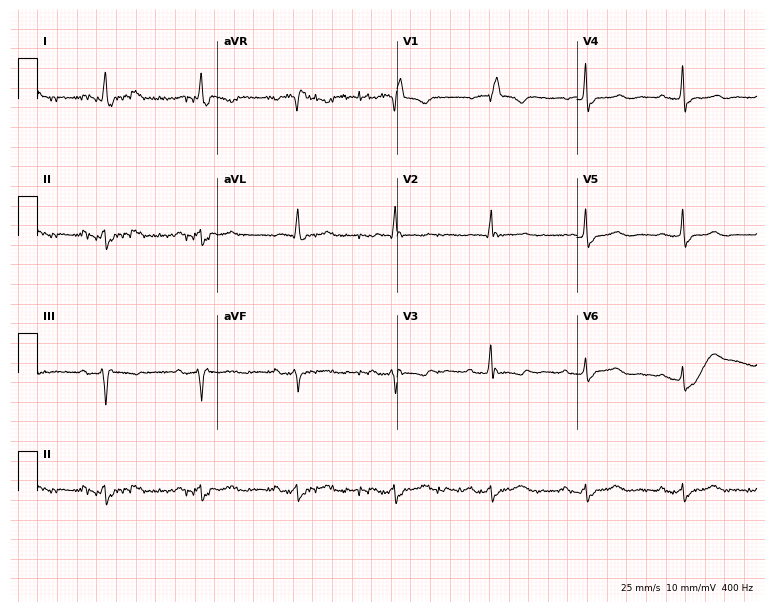
12-lead ECG from an 82-year-old female (7.3-second recording at 400 Hz). Shows right bundle branch block (RBBB).